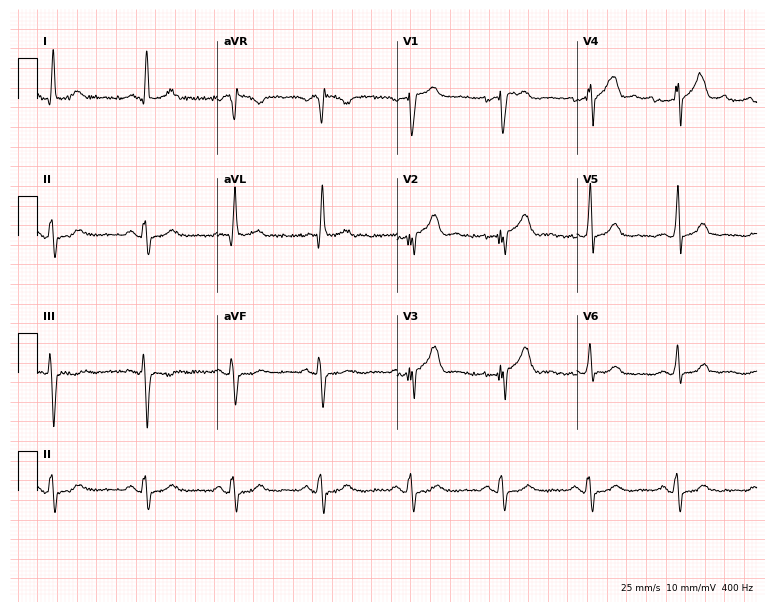
12-lead ECG (7.3-second recording at 400 Hz) from a 59-year-old male patient. Screened for six findings — first-degree AV block, right bundle branch block, left bundle branch block, sinus bradycardia, atrial fibrillation, sinus tachycardia — none is recorded.